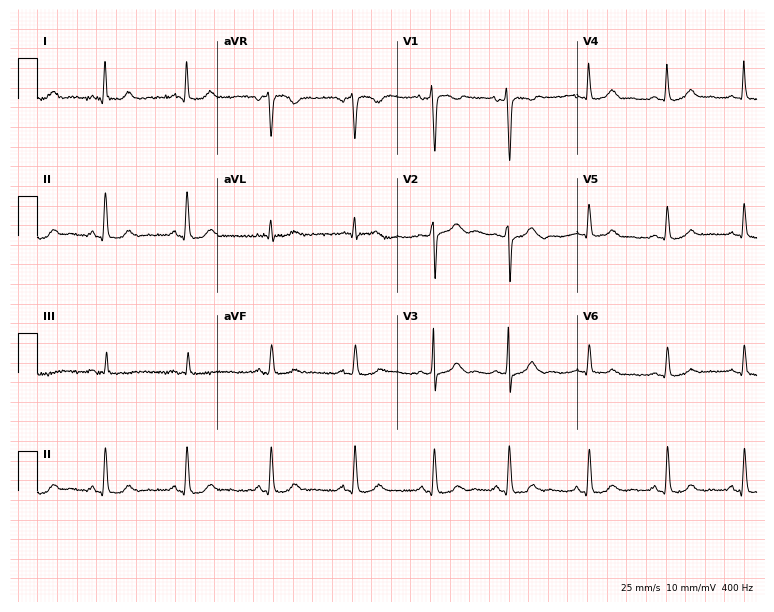
ECG (7.3-second recording at 400 Hz) — a female, 27 years old. Labelled as a normal ECG.